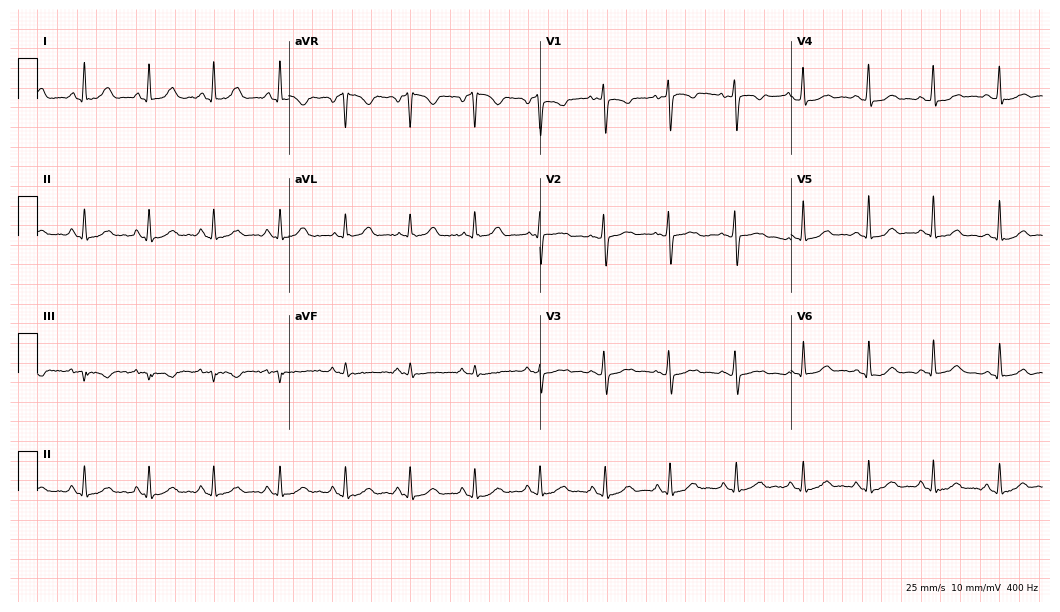
12-lead ECG from a female patient, 37 years old. Labelled as a normal ECG.